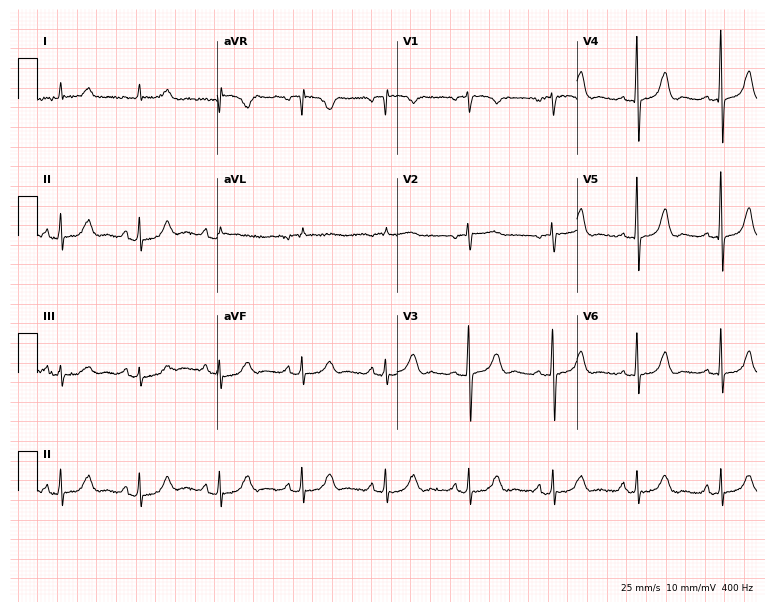
12-lead ECG from a woman, 60 years old (7.3-second recording at 400 Hz). No first-degree AV block, right bundle branch block, left bundle branch block, sinus bradycardia, atrial fibrillation or sinus tachycardia recorded for this tracing.